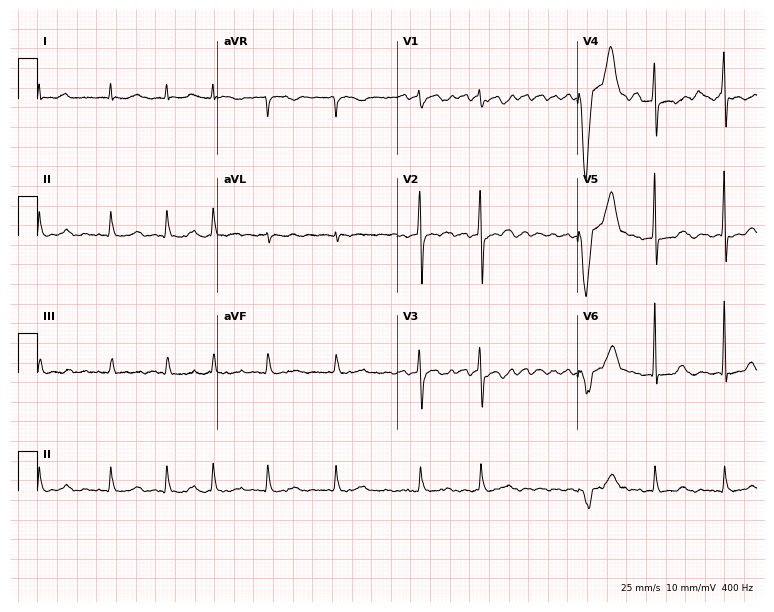
Standard 12-lead ECG recorded from a female patient, 79 years old (7.3-second recording at 400 Hz). The tracing shows atrial fibrillation.